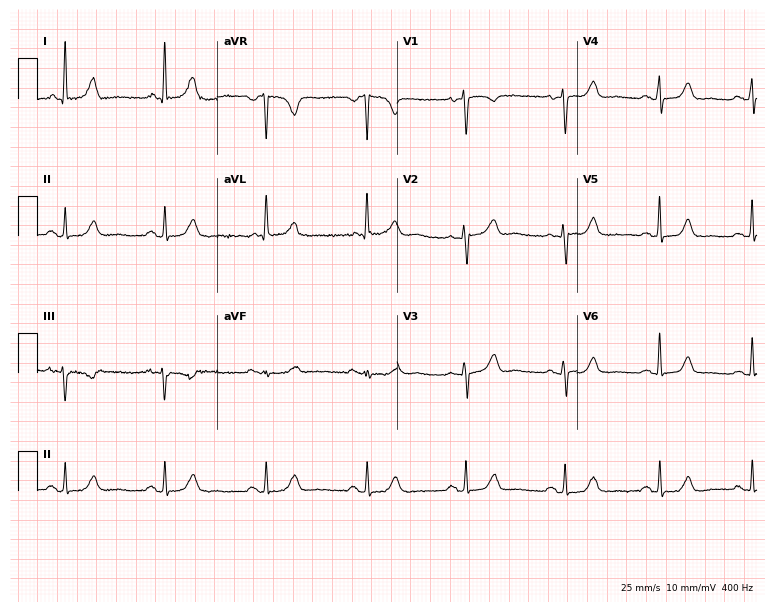
Resting 12-lead electrocardiogram. Patient: a female, 82 years old. None of these six findings is recorded: first-degree AV block, right bundle branch block, left bundle branch block, sinus bradycardia, atrial fibrillation, sinus tachycardia.